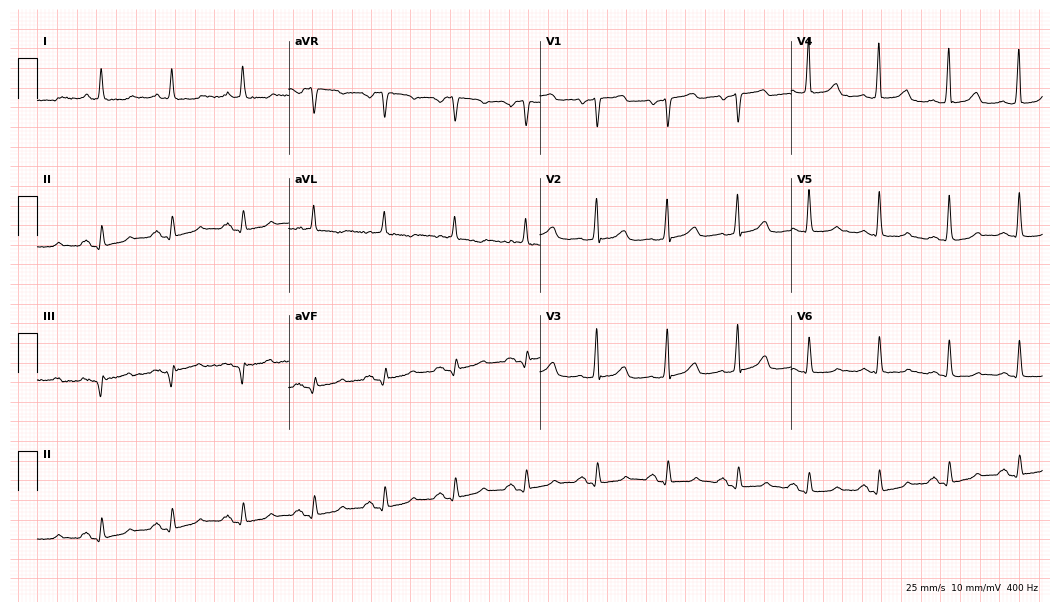
Electrocardiogram, an 83-year-old female patient. Of the six screened findings (first-degree AV block, right bundle branch block (RBBB), left bundle branch block (LBBB), sinus bradycardia, atrial fibrillation (AF), sinus tachycardia), none is recorded.